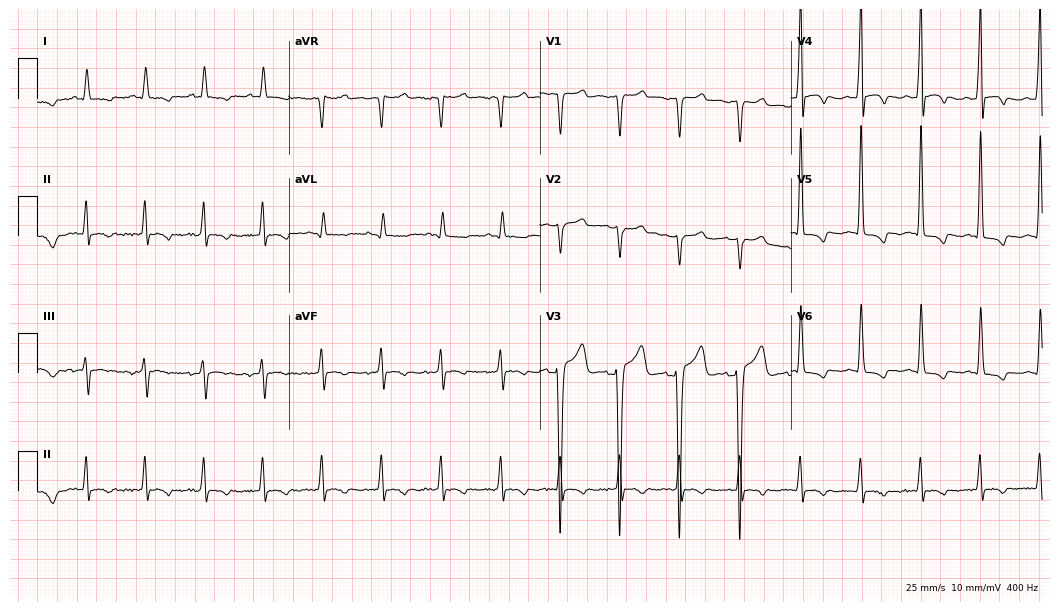
12-lead ECG from a male, 52 years old. No first-degree AV block, right bundle branch block, left bundle branch block, sinus bradycardia, atrial fibrillation or sinus tachycardia recorded for this tracing.